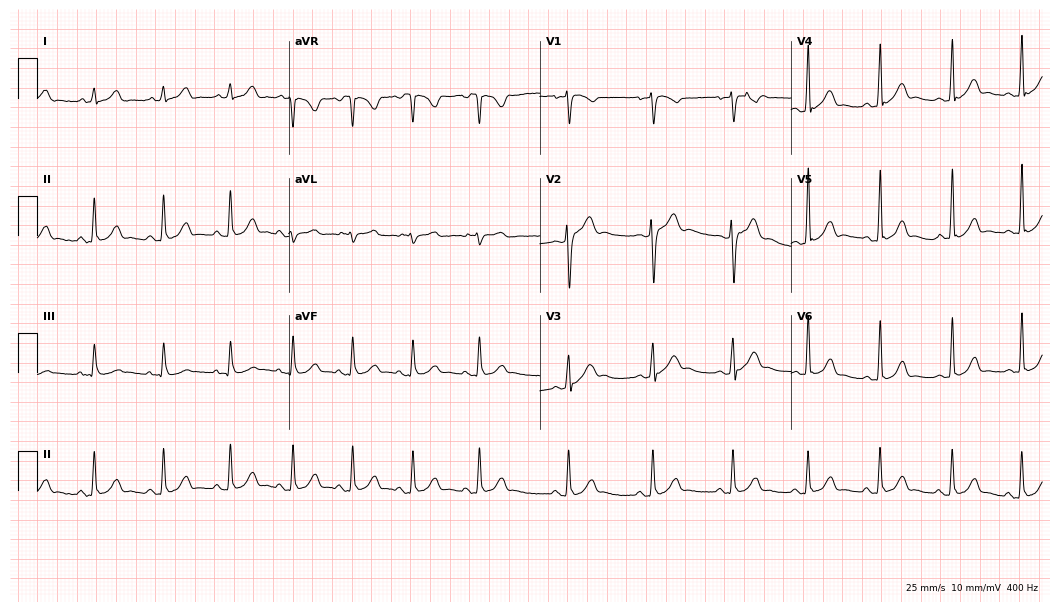
Resting 12-lead electrocardiogram (10.2-second recording at 400 Hz). Patient: a male, 43 years old. None of these six findings is recorded: first-degree AV block, right bundle branch block, left bundle branch block, sinus bradycardia, atrial fibrillation, sinus tachycardia. Other findings, if any, are not listed.